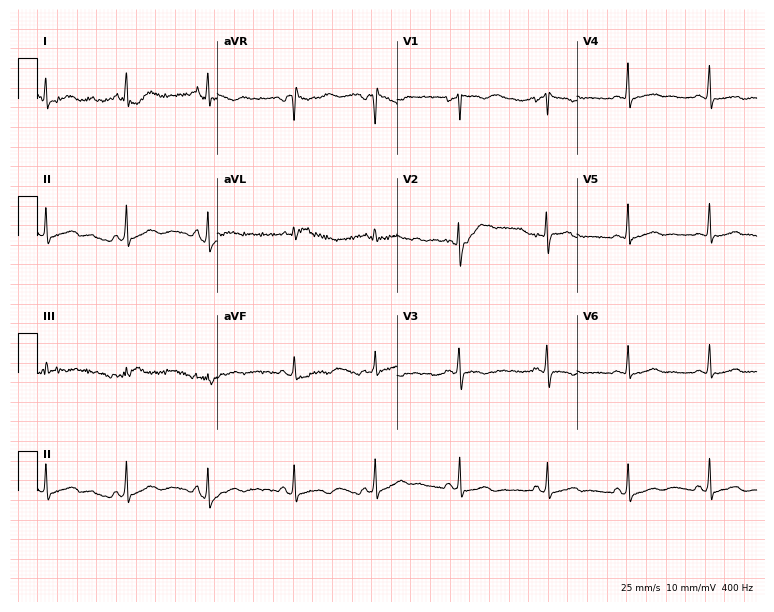
Resting 12-lead electrocardiogram (7.3-second recording at 400 Hz). Patient: a 27-year-old woman. None of these six findings is recorded: first-degree AV block, right bundle branch block (RBBB), left bundle branch block (LBBB), sinus bradycardia, atrial fibrillation (AF), sinus tachycardia. Only these six findings were labelled.